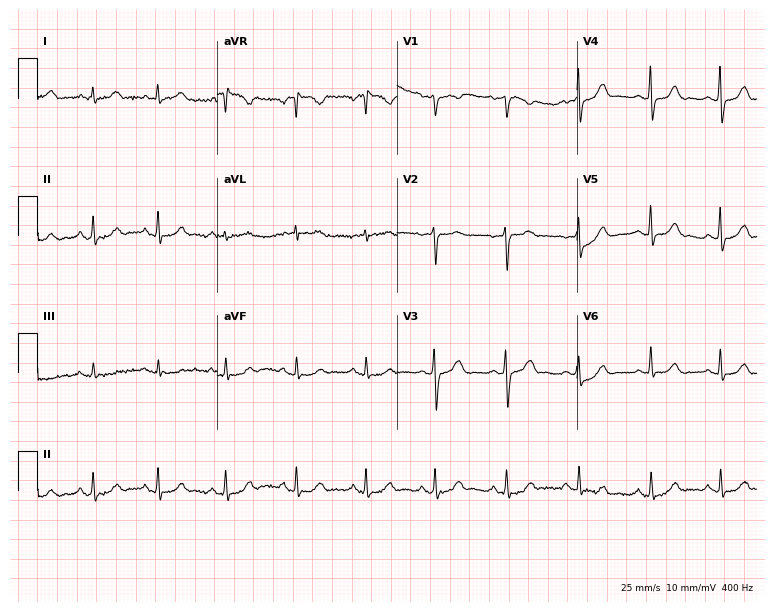
12-lead ECG from a woman, 45 years old. Labelled as a normal ECG.